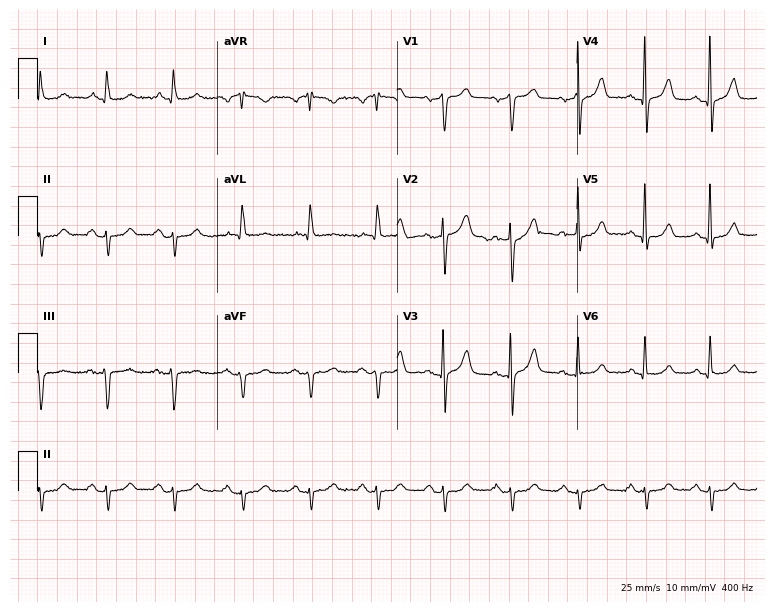
12-lead ECG from a 67-year-old male. Screened for six findings — first-degree AV block, right bundle branch block, left bundle branch block, sinus bradycardia, atrial fibrillation, sinus tachycardia — none is recorded.